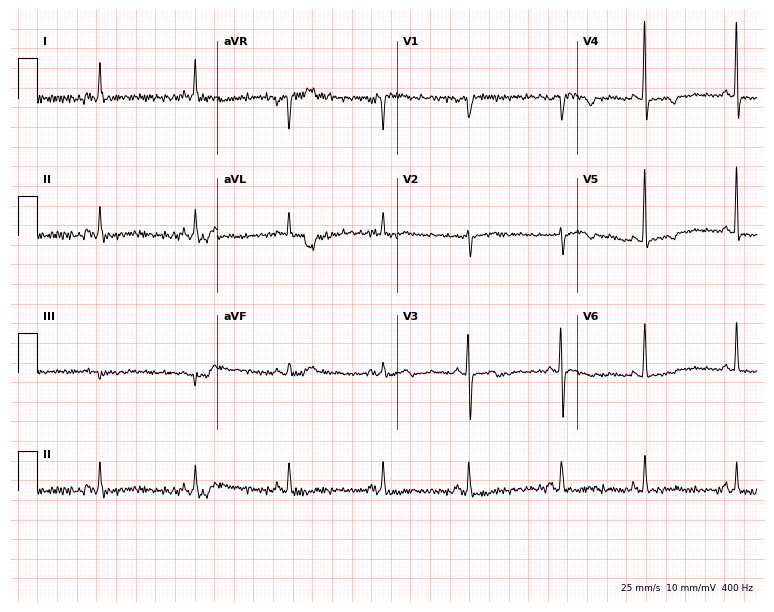
Resting 12-lead electrocardiogram (7.3-second recording at 400 Hz). Patient: a female, 71 years old. None of these six findings is recorded: first-degree AV block, right bundle branch block (RBBB), left bundle branch block (LBBB), sinus bradycardia, atrial fibrillation (AF), sinus tachycardia. Only these six findings were labelled.